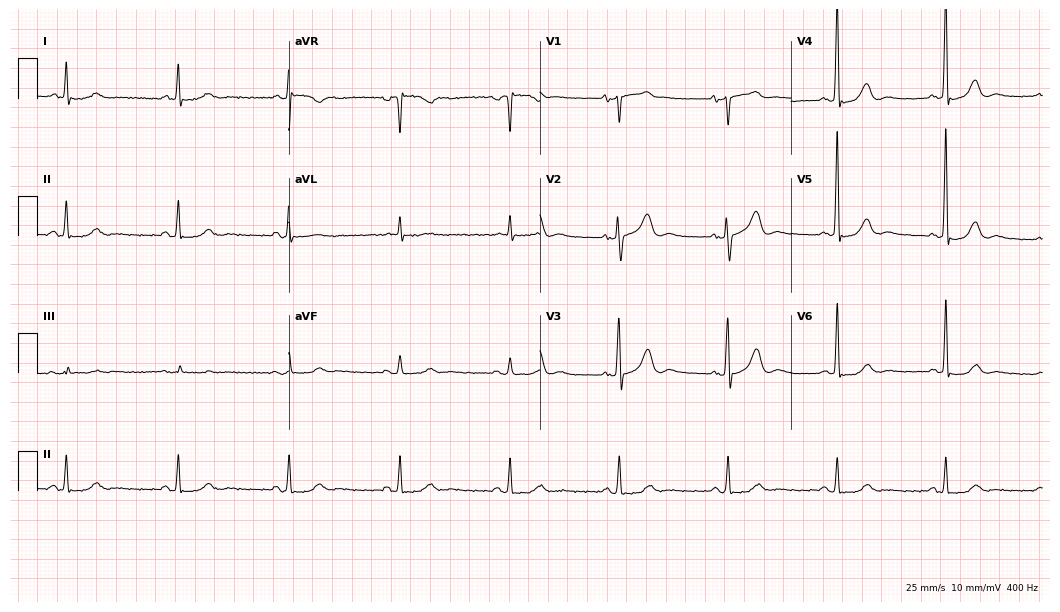
Resting 12-lead electrocardiogram (10.2-second recording at 400 Hz). Patient: a 74-year-old male. None of these six findings is recorded: first-degree AV block, right bundle branch block, left bundle branch block, sinus bradycardia, atrial fibrillation, sinus tachycardia. Only these six findings were labelled.